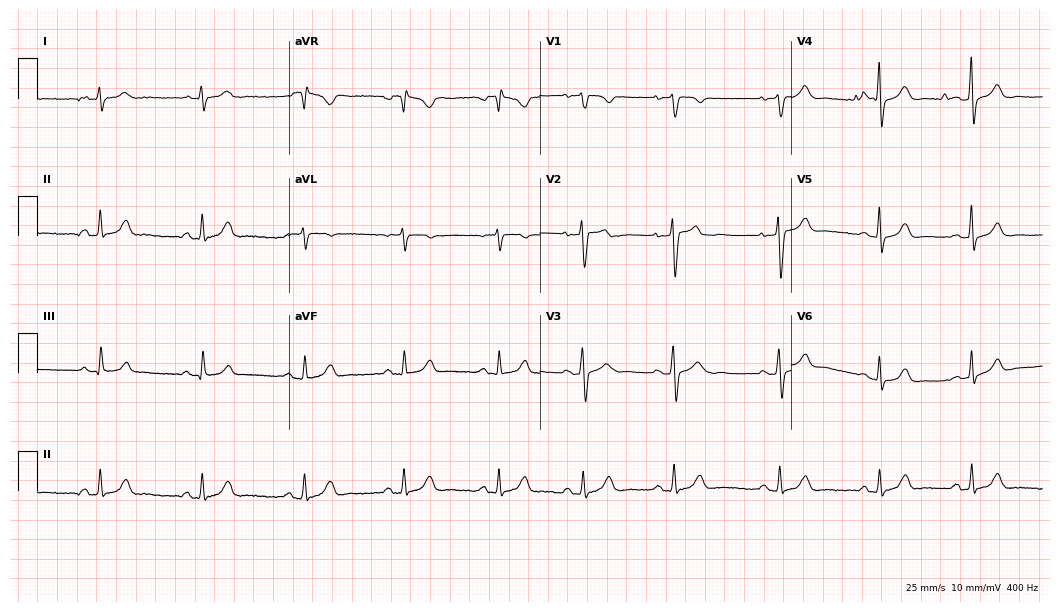
ECG (10.2-second recording at 400 Hz) — a female, 28 years old. Screened for six findings — first-degree AV block, right bundle branch block, left bundle branch block, sinus bradycardia, atrial fibrillation, sinus tachycardia — none is recorded. Only these six findings were labelled.